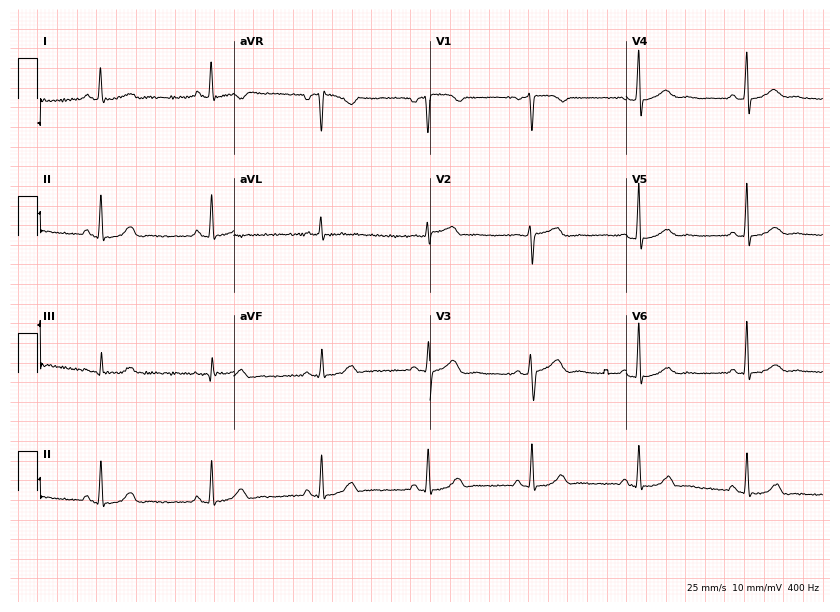
Electrocardiogram, a 49-year-old female patient. Overall reading on record: normal ECG.